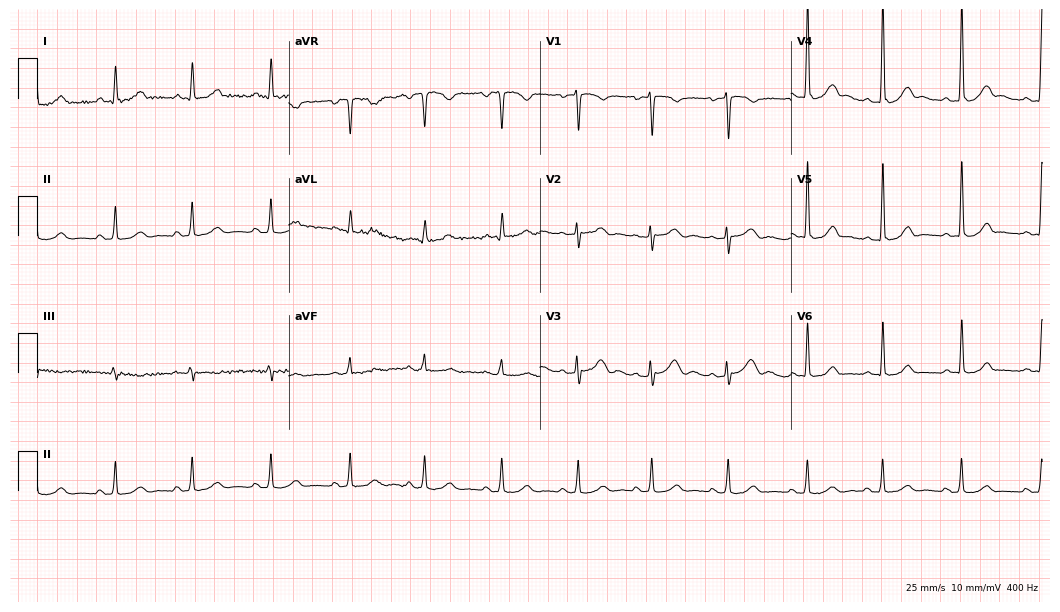
Resting 12-lead electrocardiogram. Patient: a woman, 29 years old. Read as a normal ECG.